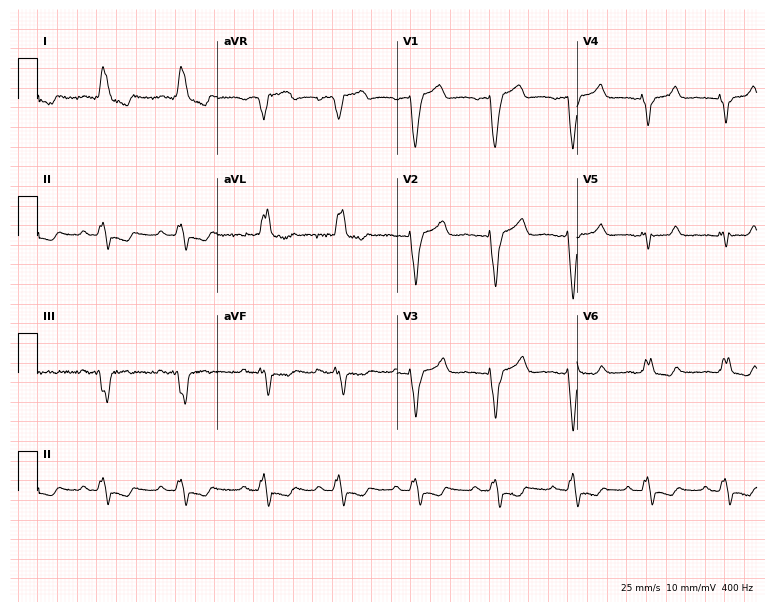
12-lead ECG from a female, 63 years old (7.3-second recording at 400 Hz). Shows left bundle branch block.